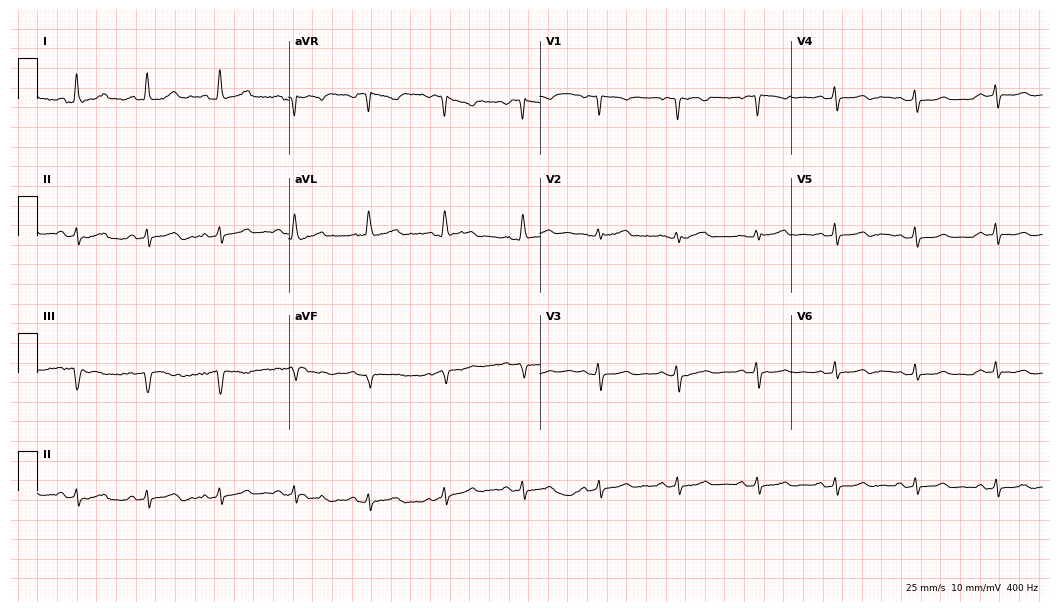
Resting 12-lead electrocardiogram. Patient: a 42-year-old female. Read as a normal ECG.